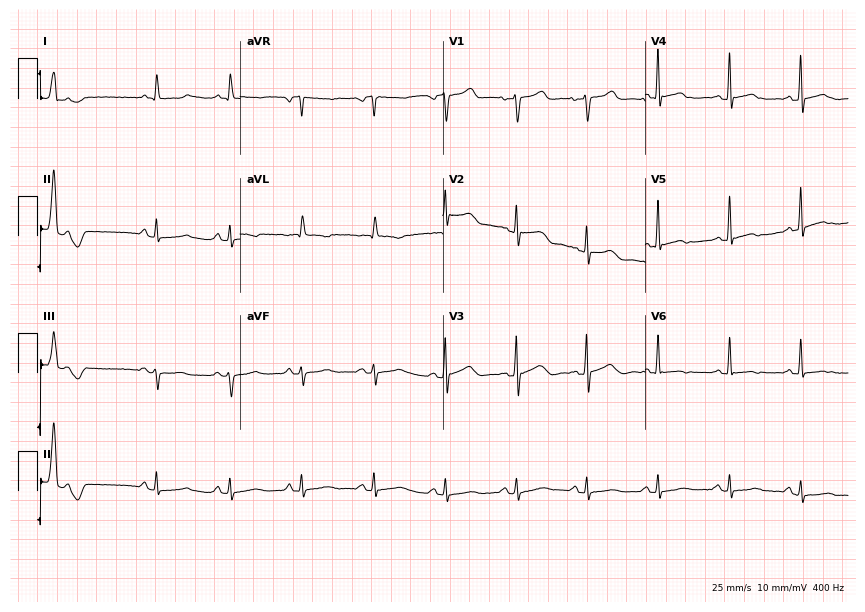
Standard 12-lead ECG recorded from an 82-year-old female patient (8.3-second recording at 400 Hz). None of these six findings is recorded: first-degree AV block, right bundle branch block (RBBB), left bundle branch block (LBBB), sinus bradycardia, atrial fibrillation (AF), sinus tachycardia. Only these six findings were labelled.